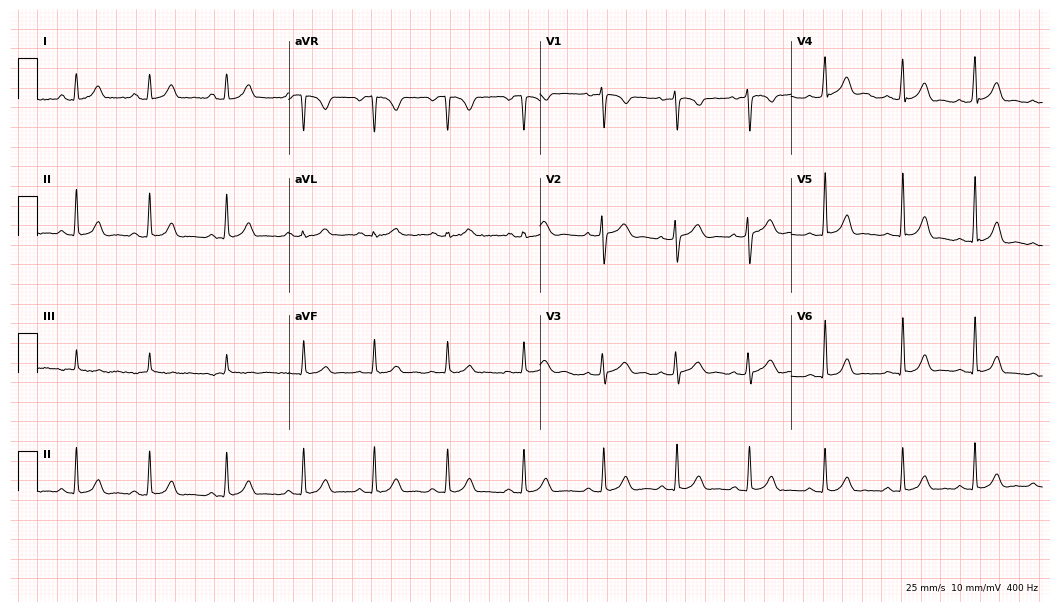
Resting 12-lead electrocardiogram (10.2-second recording at 400 Hz). Patient: a female, 20 years old. Read as a normal ECG.